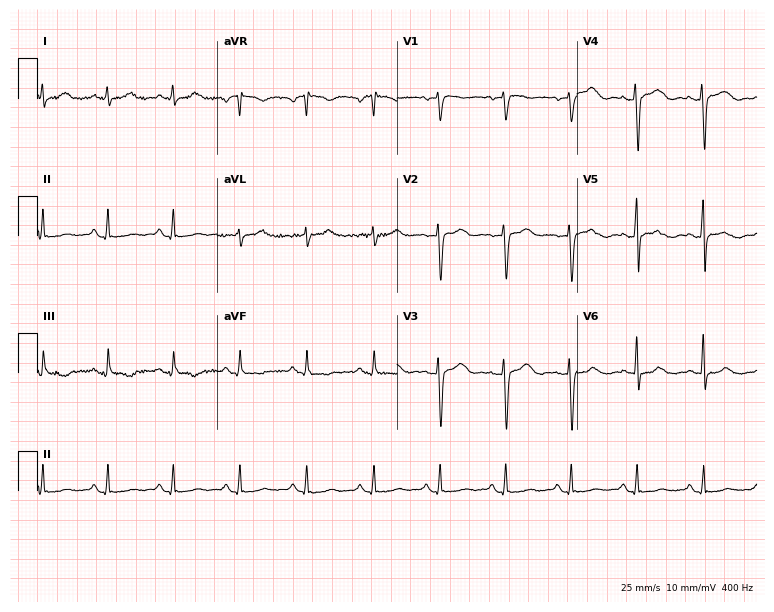
12-lead ECG from a 44-year-old female patient (7.3-second recording at 400 Hz). Recorded interpretation: within normal limits.